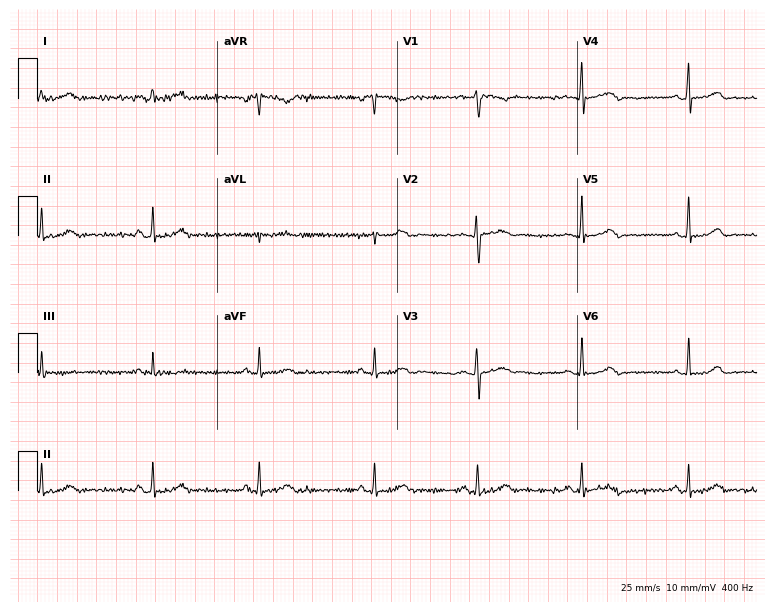
12-lead ECG from a 26-year-old female patient. Labelled as a normal ECG.